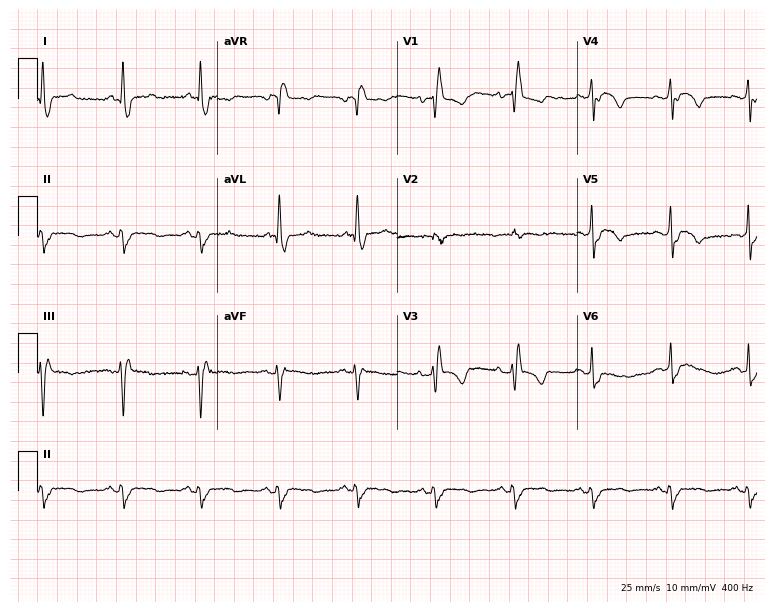
Resting 12-lead electrocardiogram. Patient: a female, 54 years old. The tracing shows right bundle branch block.